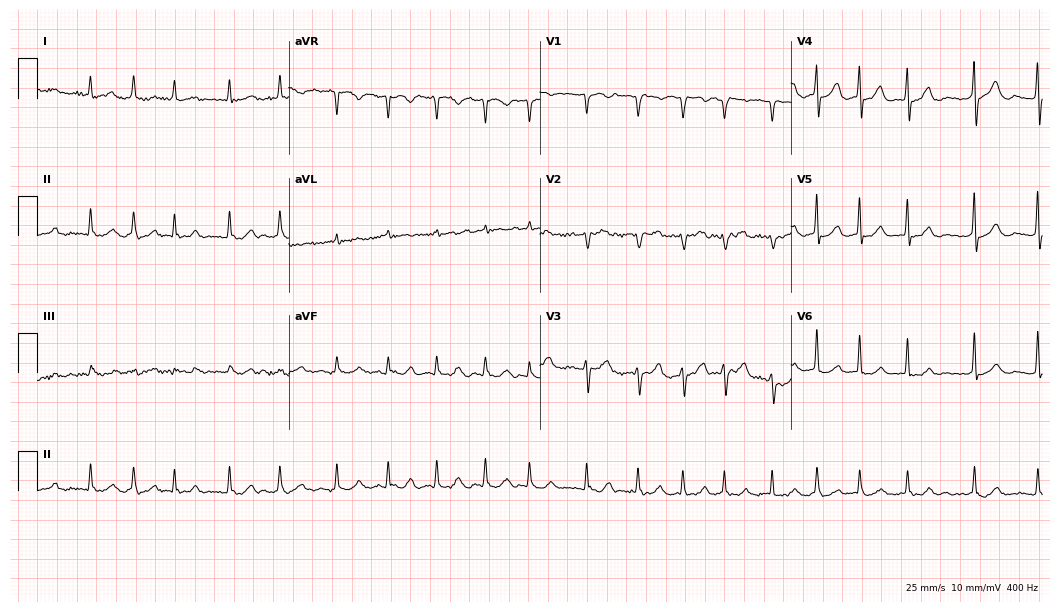
12-lead ECG from a 69-year-old female patient. Shows atrial fibrillation (AF).